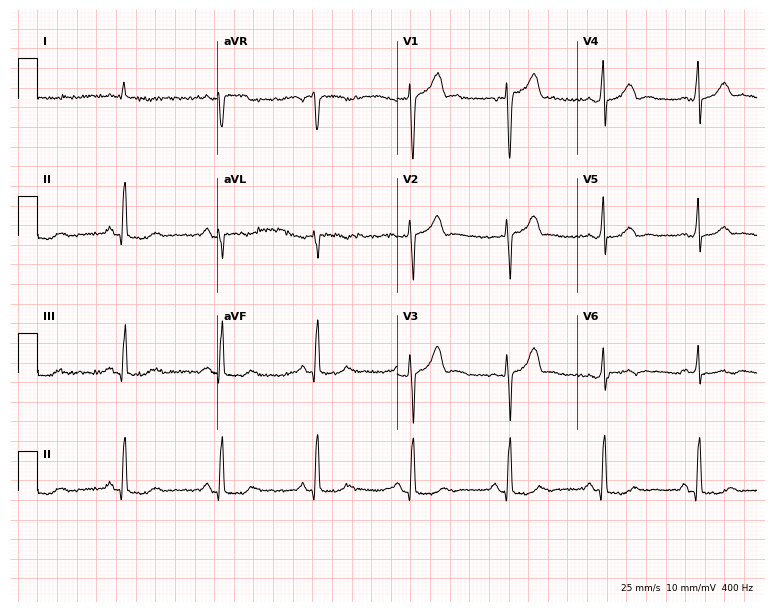
12-lead ECG from a man, 76 years old (7.3-second recording at 400 Hz). No first-degree AV block, right bundle branch block, left bundle branch block, sinus bradycardia, atrial fibrillation or sinus tachycardia recorded for this tracing. Other findings, if any, are not listed.